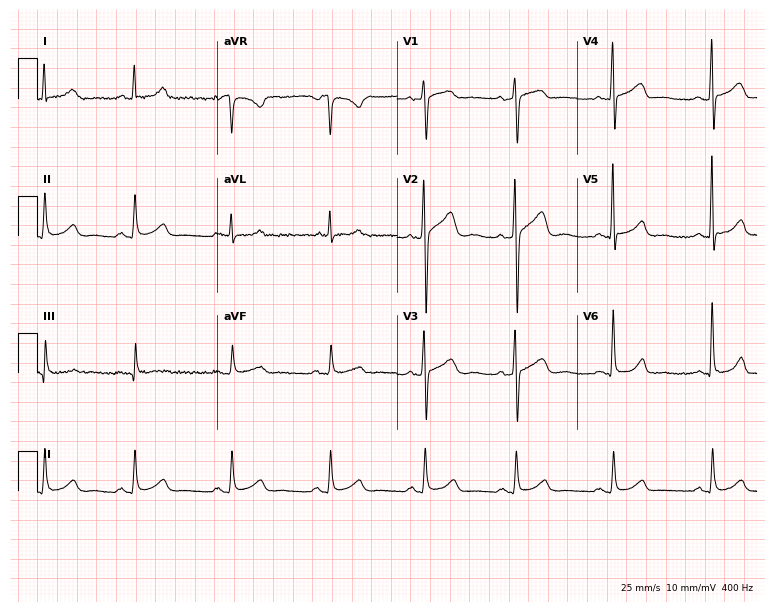
ECG (7.3-second recording at 400 Hz) — a man, 48 years old. Labelled as a normal ECG.